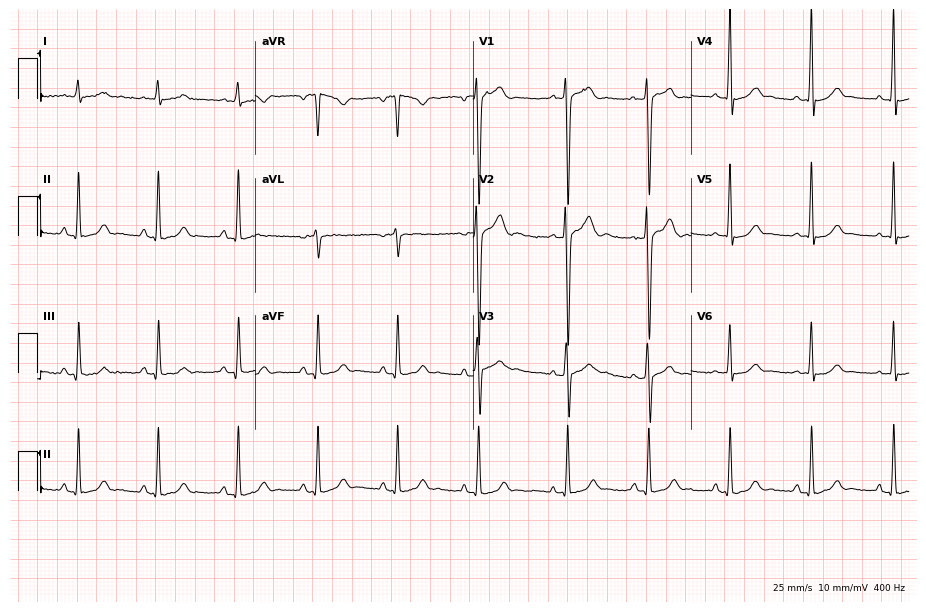
12-lead ECG from a man, 17 years old. Labelled as a normal ECG.